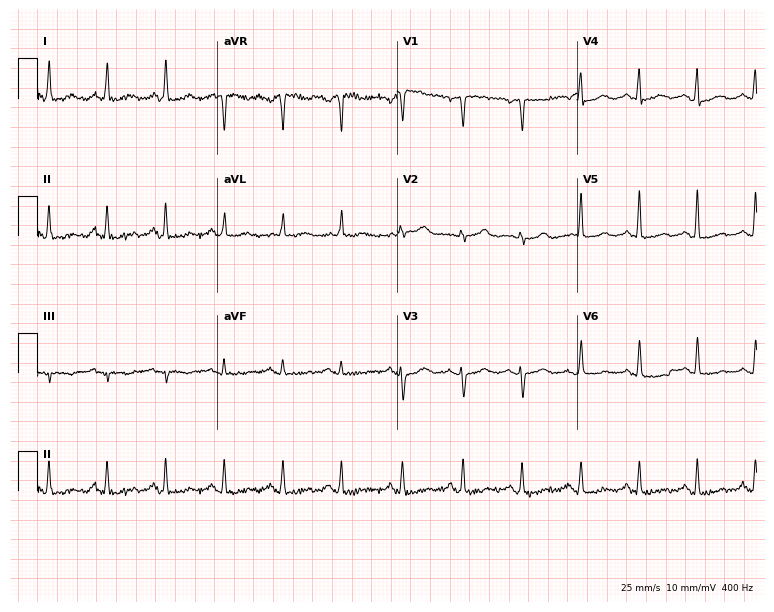
12-lead ECG from an 81-year-old woman (7.3-second recording at 400 Hz). Shows sinus tachycardia (a sinus rate of 100 beats per minute or more).